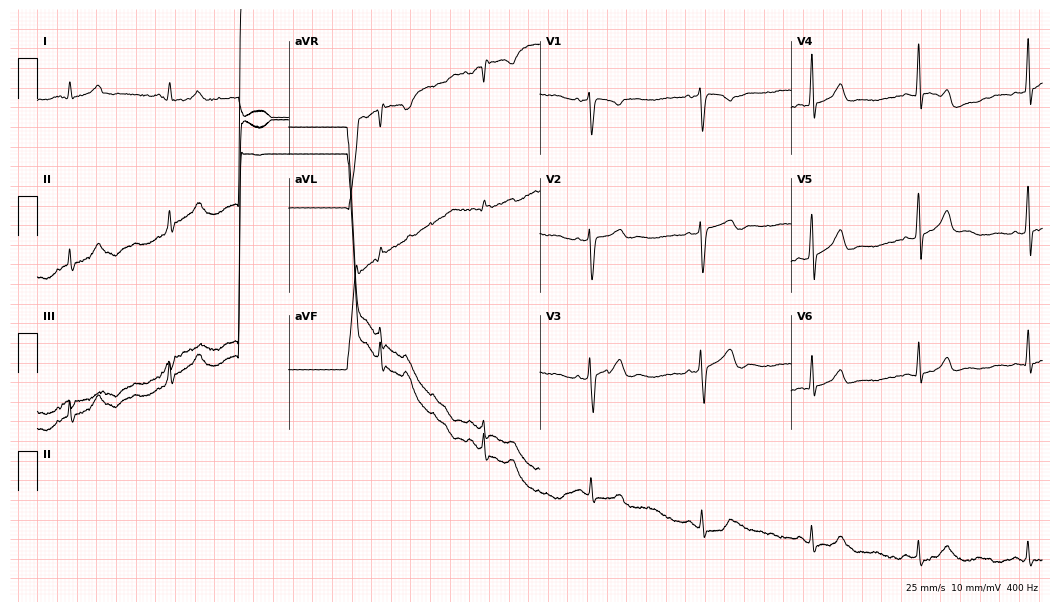
Standard 12-lead ECG recorded from a male, 30 years old. None of these six findings is recorded: first-degree AV block, right bundle branch block (RBBB), left bundle branch block (LBBB), sinus bradycardia, atrial fibrillation (AF), sinus tachycardia.